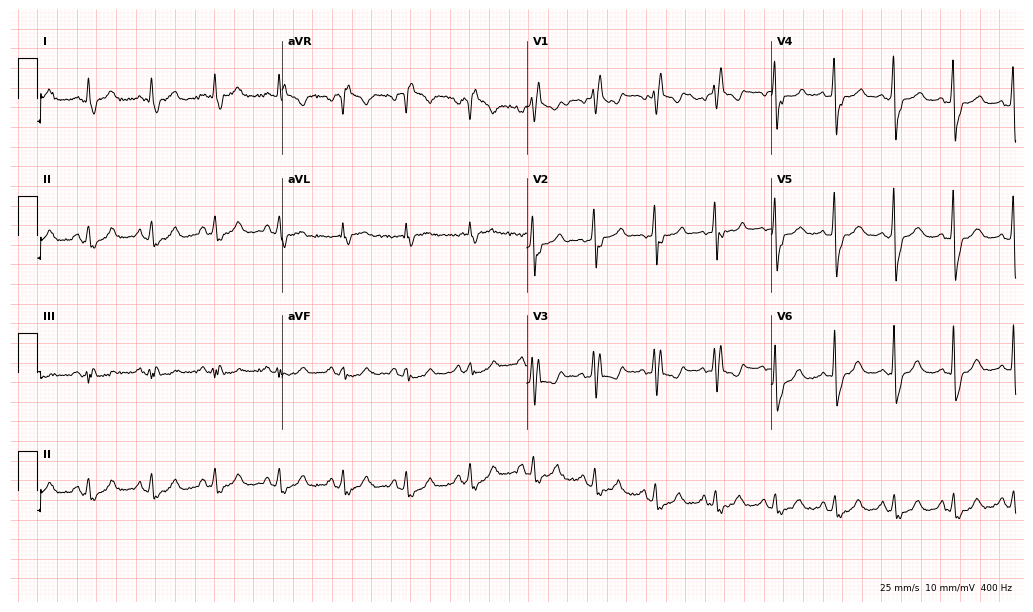
Resting 12-lead electrocardiogram. Patient: a male, 67 years old. The tracing shows right bundle branch block.